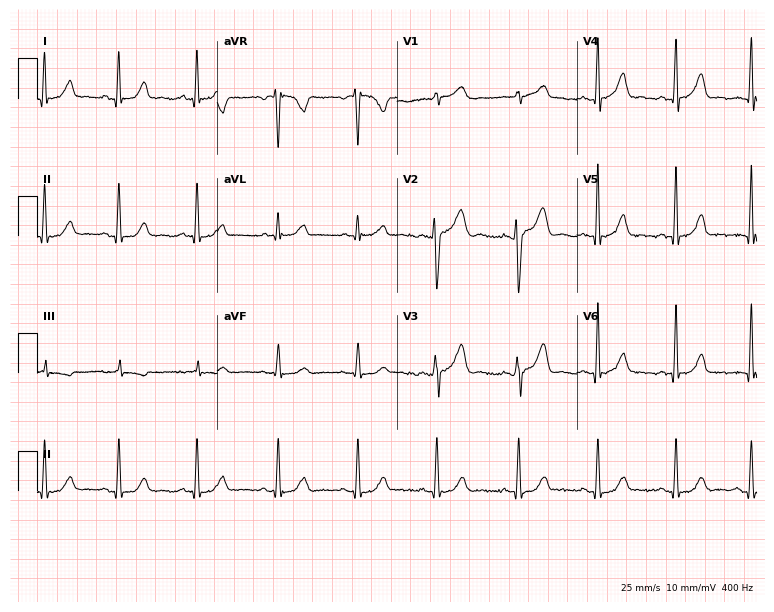
12-lead ECG from a 29-year-old female (7.3-second recording at 400 Hz). Recorded interpretation: within normal limits.